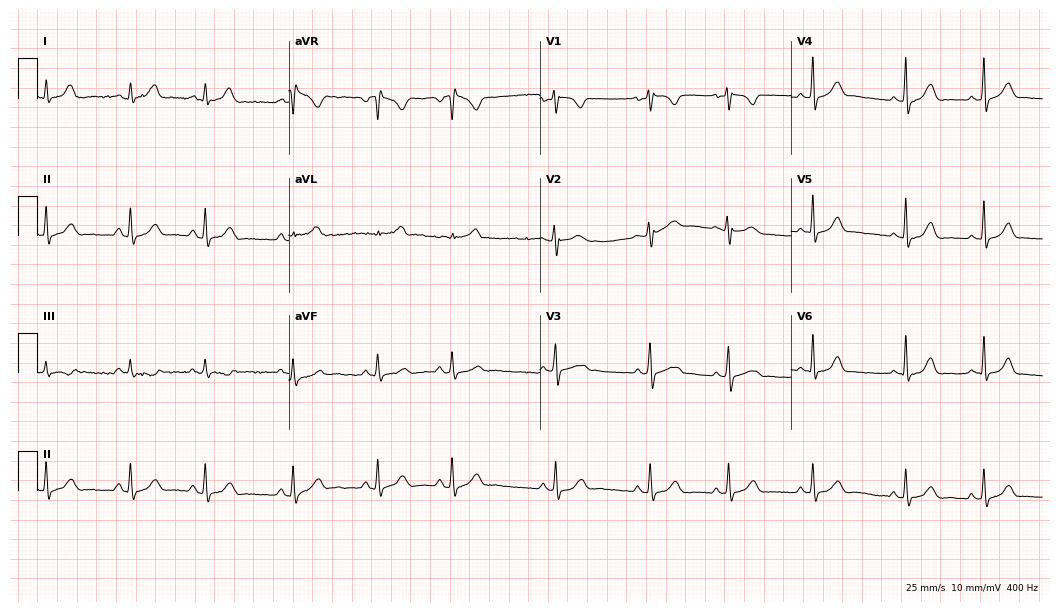
ECG — a 27-year-old female. Labelled as a normal ECG.